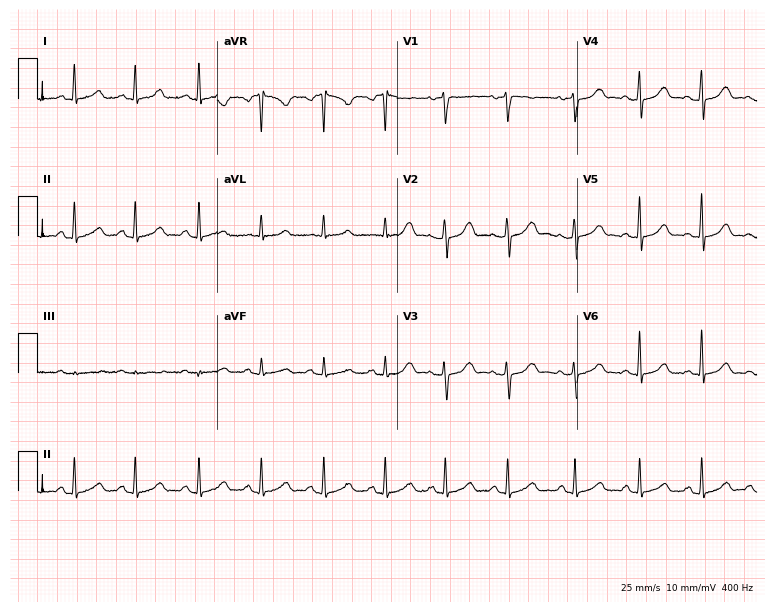
Electrocardiogram (7.3-second recording at 400 Hz), a female, 30 years old. Overall reading on record: normal ECG.